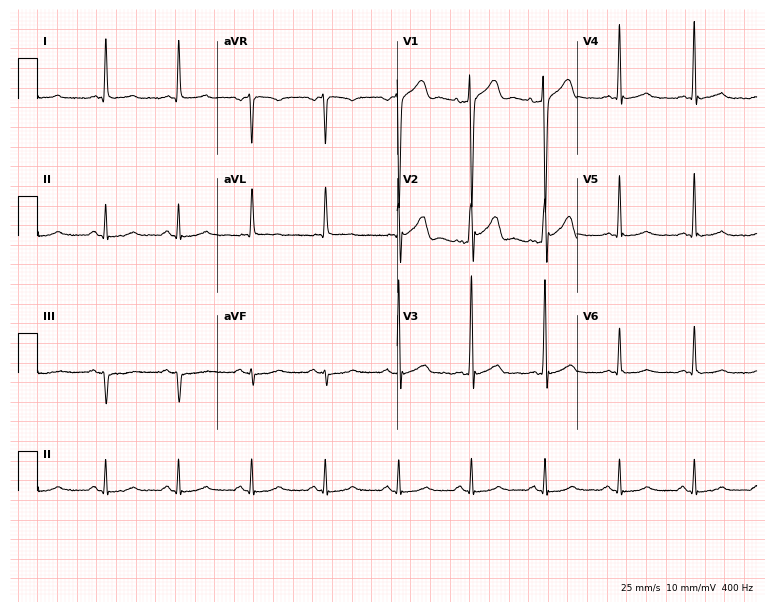
Resting 12-lead electrocardiogram (7.3-second recording at 400 Hz). Patient: a male, 56 years old. None of these six findings is recorded: first-degree AV block, right bundle branch block, left bundle branch block, sinus bradycardia, atrial fibrillation, sinus tachycardia. Only these six findings were labelled.